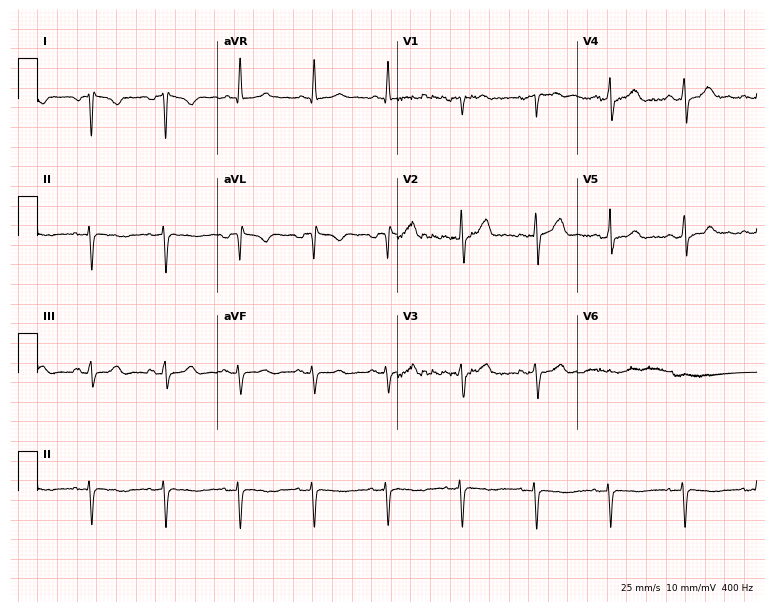
ECG — a 60-year-old male. Screened for six findings — first-degree AV block, right bundle branch block, left bundle branch block, sinus bradycardia, atrial fibrillation, sinus tachycardia — none is recorded. Only these six findings were labelled.